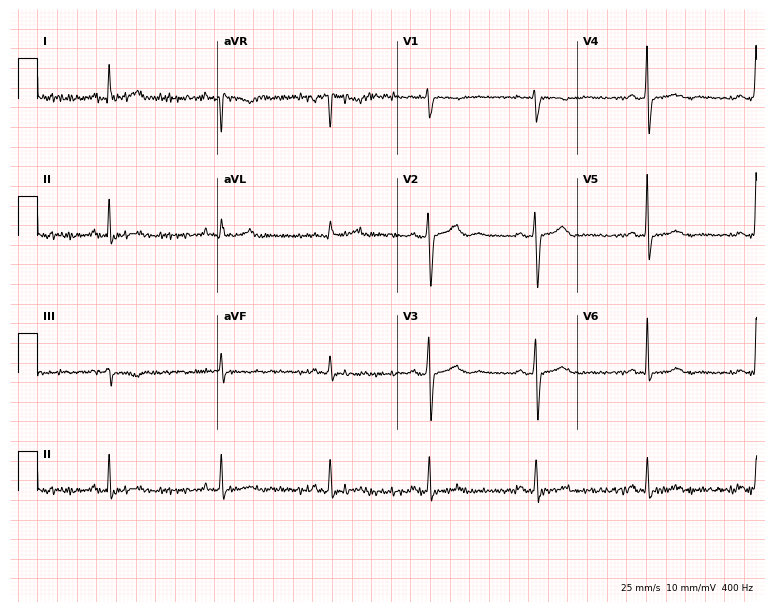
ECG (7.3-second recording at 400 Hz) — a 37-year-old female. Screened for six findings — first-degree AV block, right bundle branch block, left bundle branch block, sinus bradycardia, atrial fibrillation, sinus tachycardia — none is recorded.